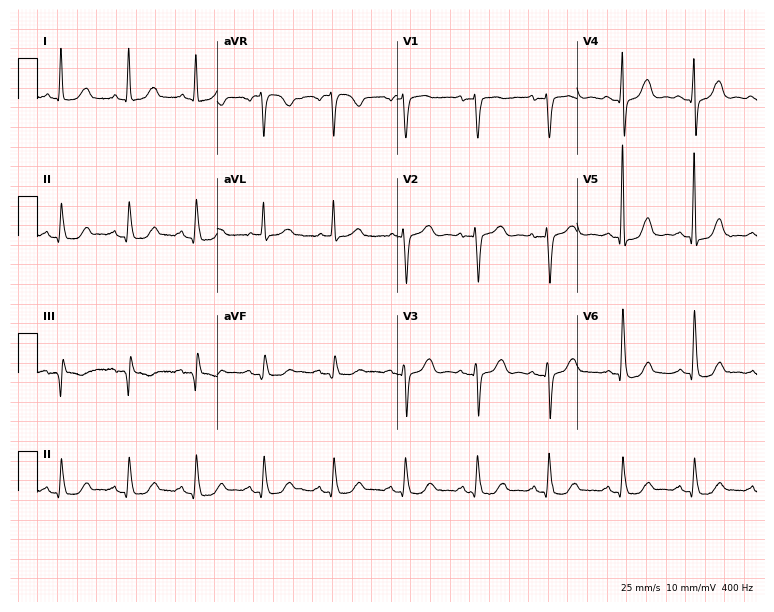
12-lead ECG from a female, 81 years old. No first-degree AV block, right bundle branch block, left bundle branch block, sinus bradycardia, atrial fibrillation or sinus tachycardia recorded for this tracing.